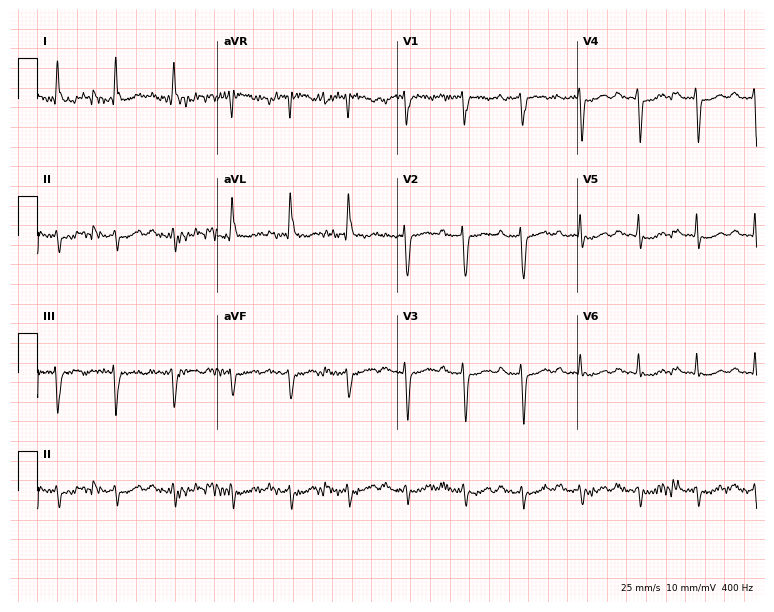
ECG — an 83-year-old woman. Findings include first-degree AV block.